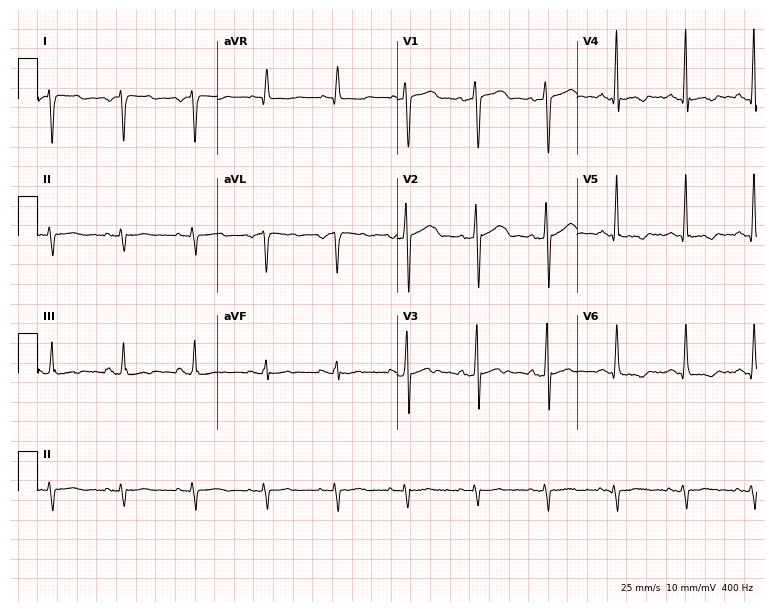
Resting 12-lead electrocardiogram (7.3-second recording at 400 Hz). Patient: a 53-year-old male. None of these six findings is recorded: first-degree AV block, right bundle branch block (RBBB), left bundle branch block (LBBB), sinus bradycardia, atrial fibrillation (AF), sinus tachycardia. Only these six findings were labelled.